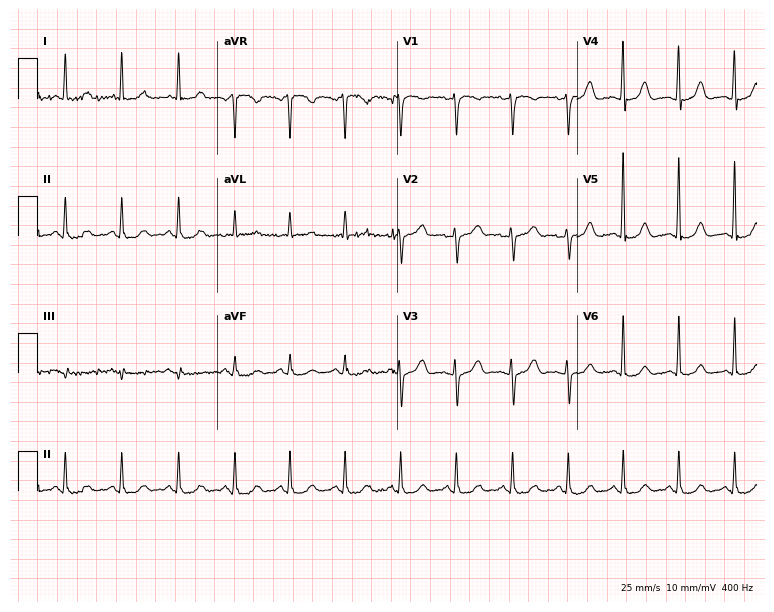
12-lead ECG (7.3-second recording at 400 Hz) from a woman, 61 years old. Findings include sinus tachycardia (a sinus rate of 100 beats per minute or more).